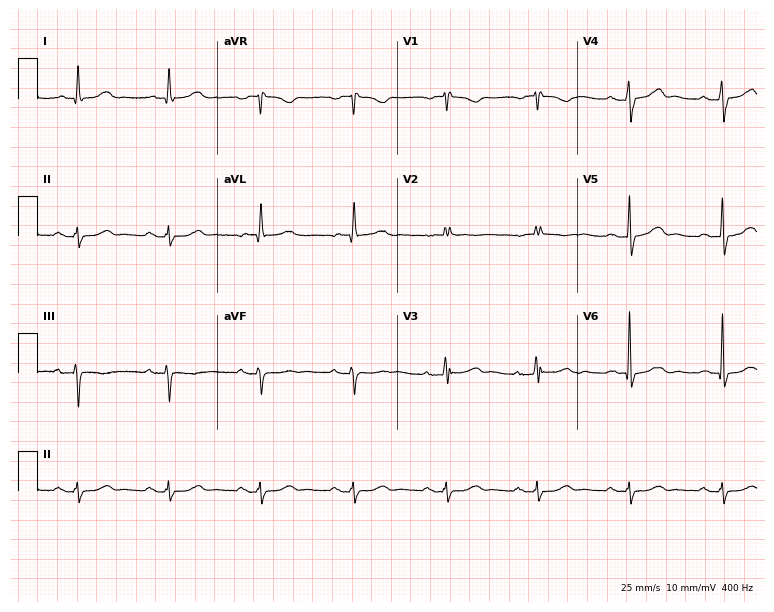
Standard 12-lead ECG recorded from a female patient, 77 years old (7.3-second recording at 400 Hz). None of these six findings is recorded: first-degree AV block, right bundle branch block, left bundle branch block, sinus bradycardia, atrial fibrillation, sinus tachycardia.